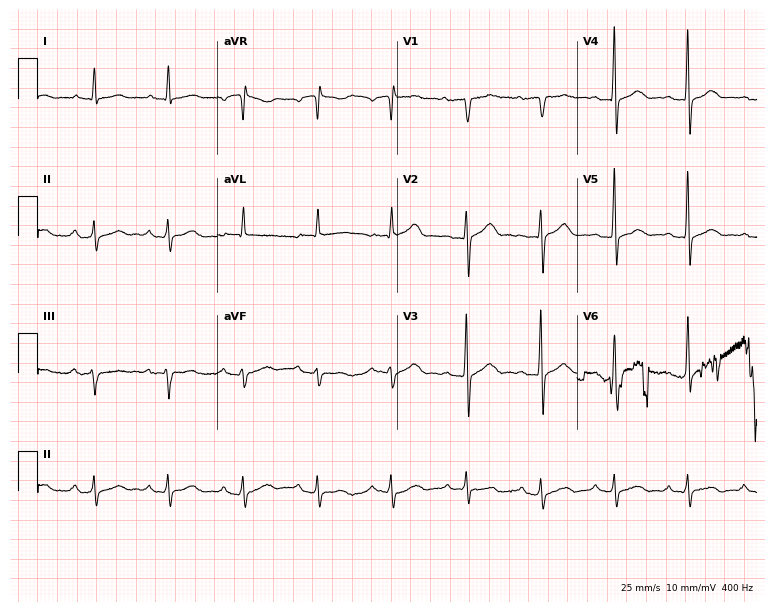
12-lead ECG from a male patient, 60 years old. No first-degree AV block, right bundle branch block (RBBB), left bundle branch block (LBBB), sinus bradycardia, atrial fibrillation (AF) or sinus tachycardia recorded for this tracing. Only these six findings were labelled.